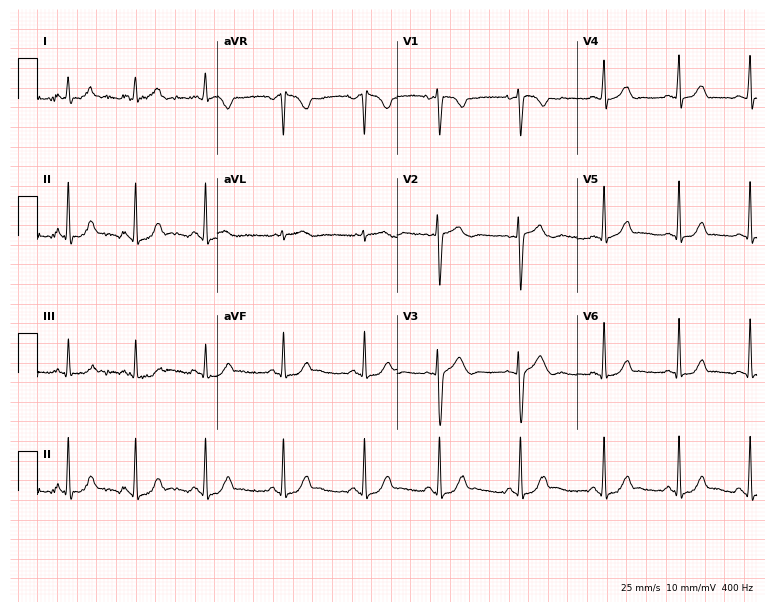
Electrocardiogram (7.3-second recording at 400 Hz), a female, 19 years old. Overall reading on record: normal ECG.